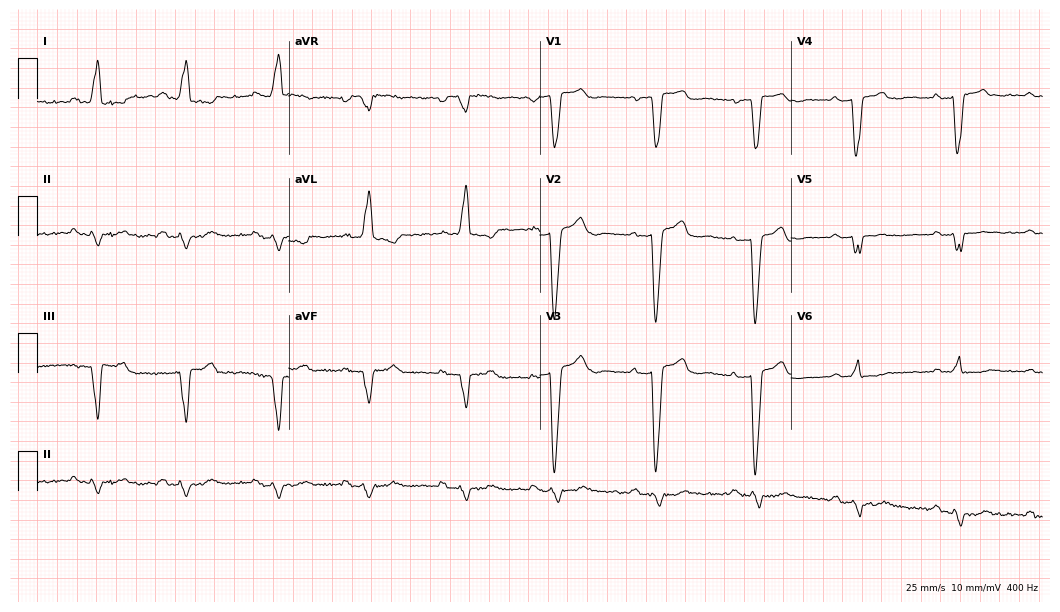
12-lead ECG from a woman, 77 years old. Shows left bundle branch block.